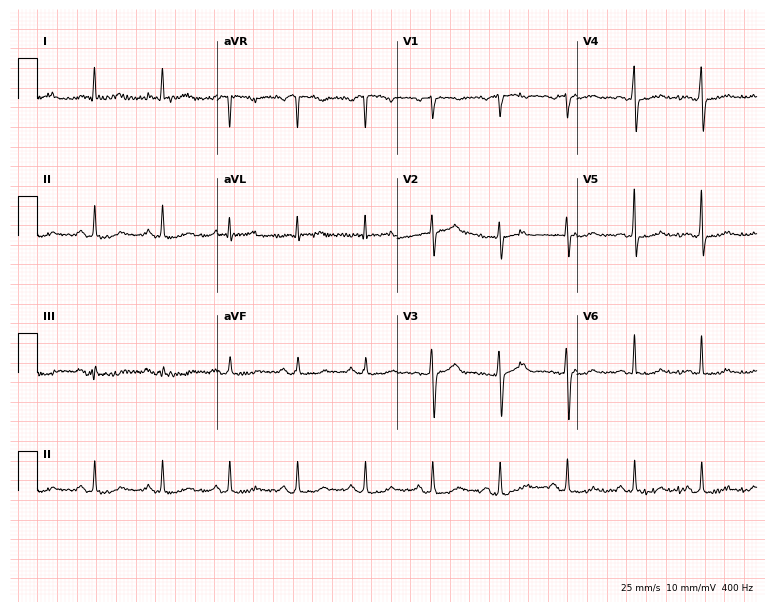
Standard 12-lead ECG recorded from a female patient, 54 years old. None of these six findings is recorded: first-degree AV block, right bundle branch block, left bundle branch block, sinus bradycardia, atrial fibrillation, sinus tachycardia.